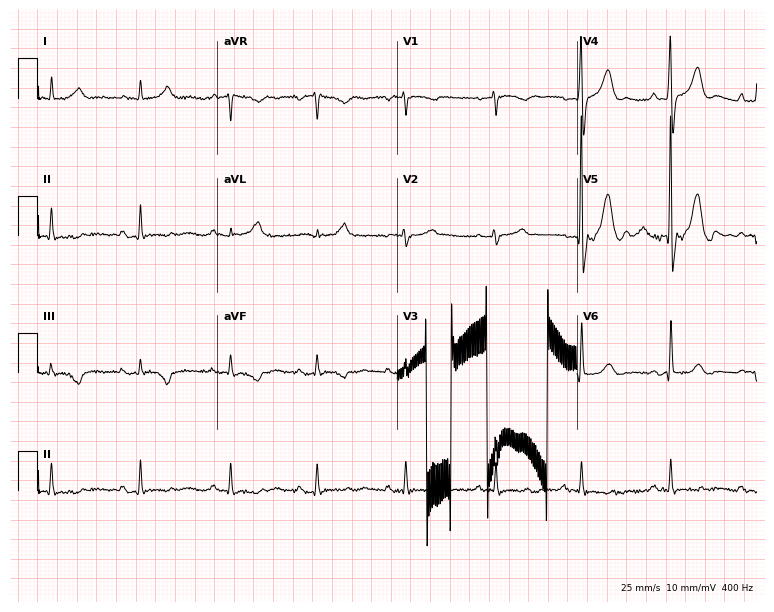
Electrocardiogram (7.3-second recording at 400 Hz), a 68-year-old male patient. Of the six screened findings (first-degree AV block, right bundle branch block, left bundle branch block, sinus bradycardia, atrial fibrillation, sinus tachycardia), none is recorded.